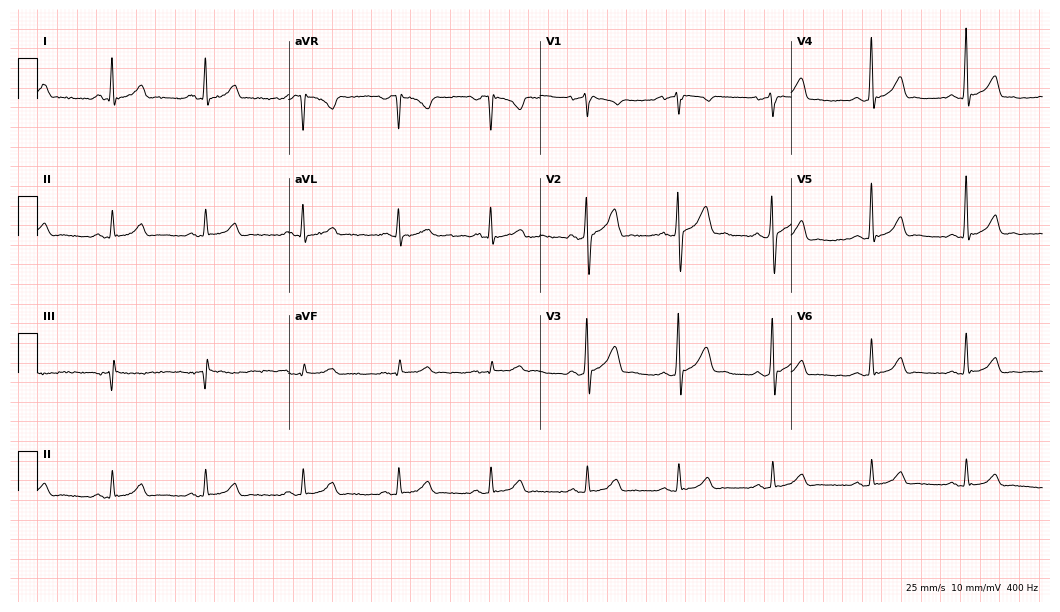
ECG (10.2-second recording at 400 Hz) — a 51-year-old man. Labelled as a normal ECG.